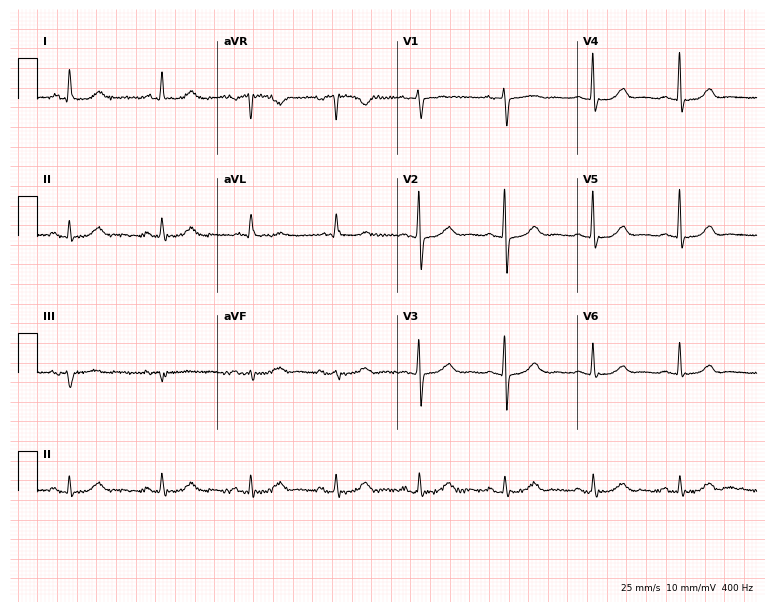
Resting 12-lead electrocardiogram. Patient: an 85-year-old female. Read as a normal ECG.